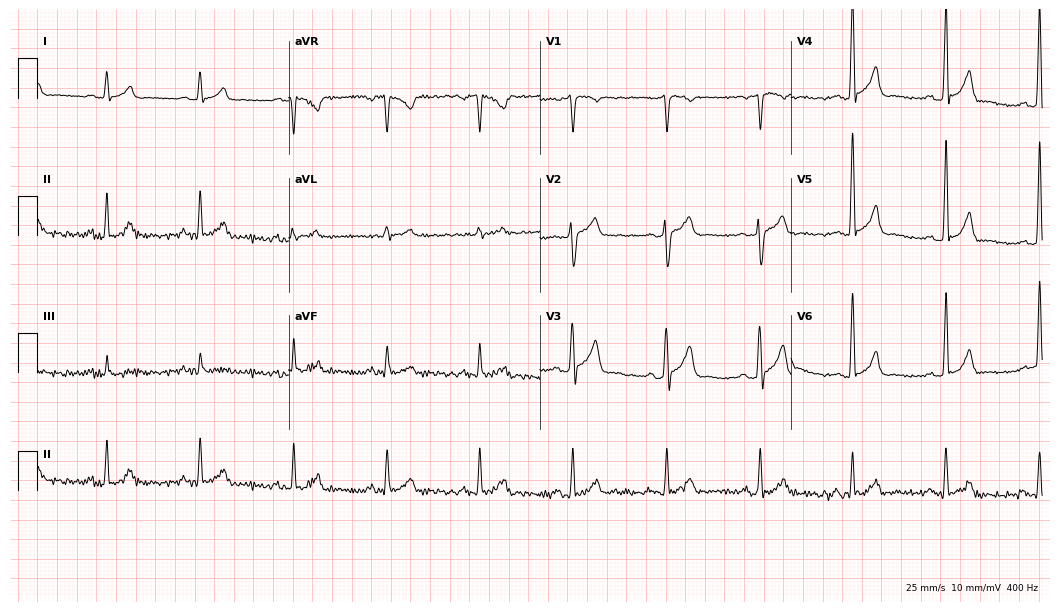
12-lead ECG (10.2-second recording at 400 Hz) from a 48-year-old male. Labelled as a normal ECG.